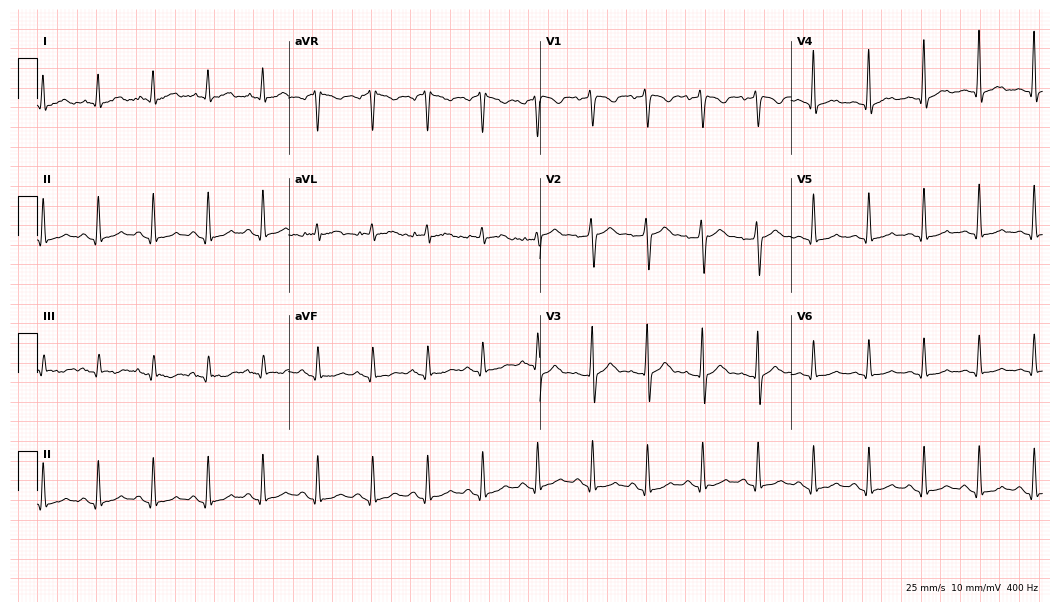
Electrocardiogram (10.2-second recording at 400 Hz), a 63-year-old male. Interpretation includes sinus tachycardia (a sinus rate of 100 beats per minute or more).